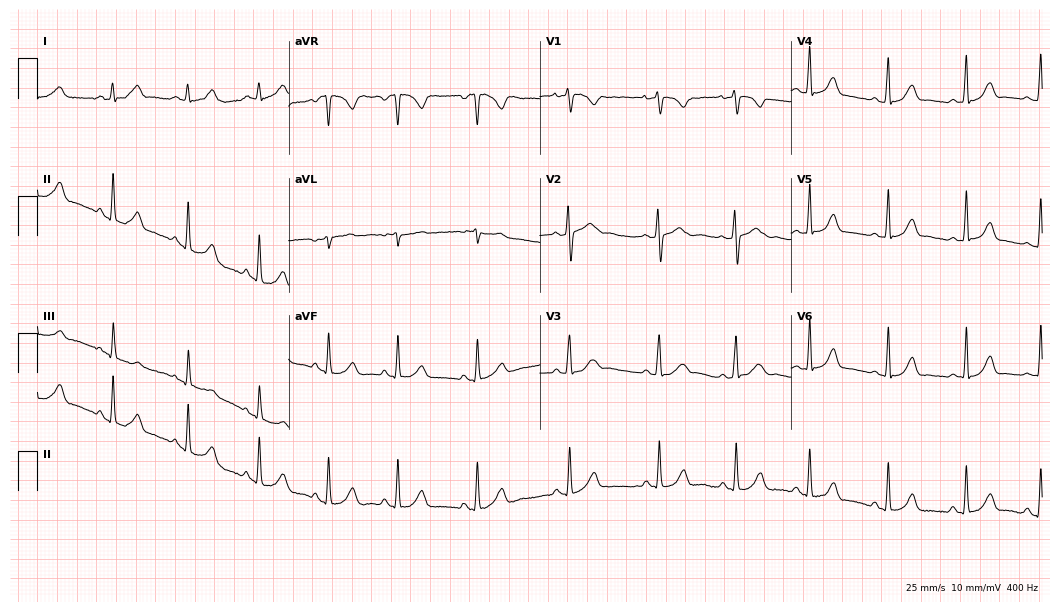
Standard 12-lead ECG recorded from a female patient, 19 years old (10.2-second recording at 400 Hz). Read as a normal ECG.